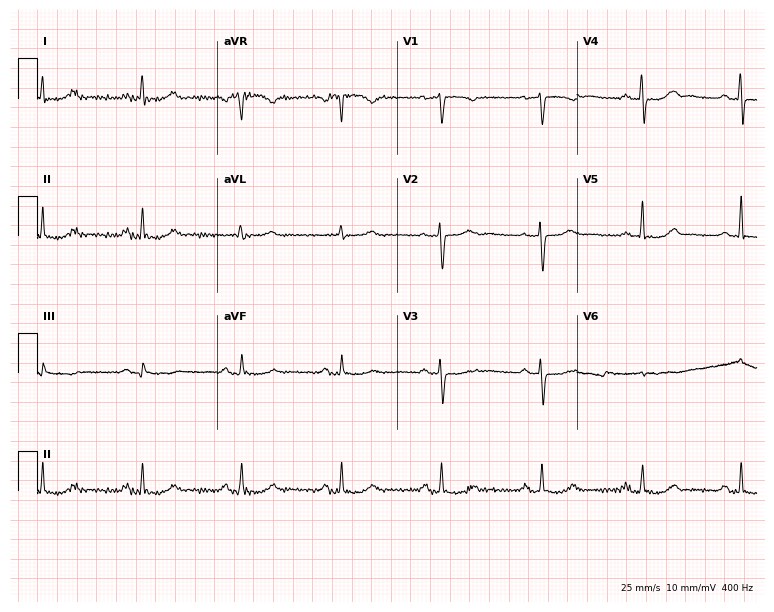
Standard 12-lead ECG recorded from a woman, 59 years old. None of these six findings is recorded: first-degree AV block, right bundle branch block (RBBB), left bundle branch block (LBBB), sinus bradycardia, atrial fibrillation (AF), sinus tachycardia. Findings outside these six are not listed.